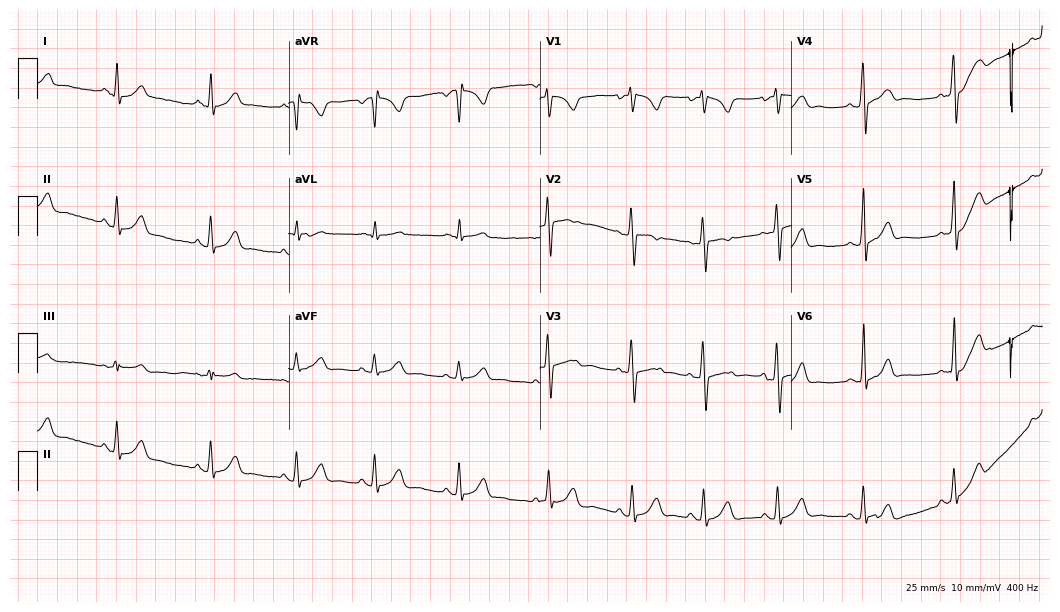
12-lead ECG from a 20-year-old female. Labelled as a normal ECG.